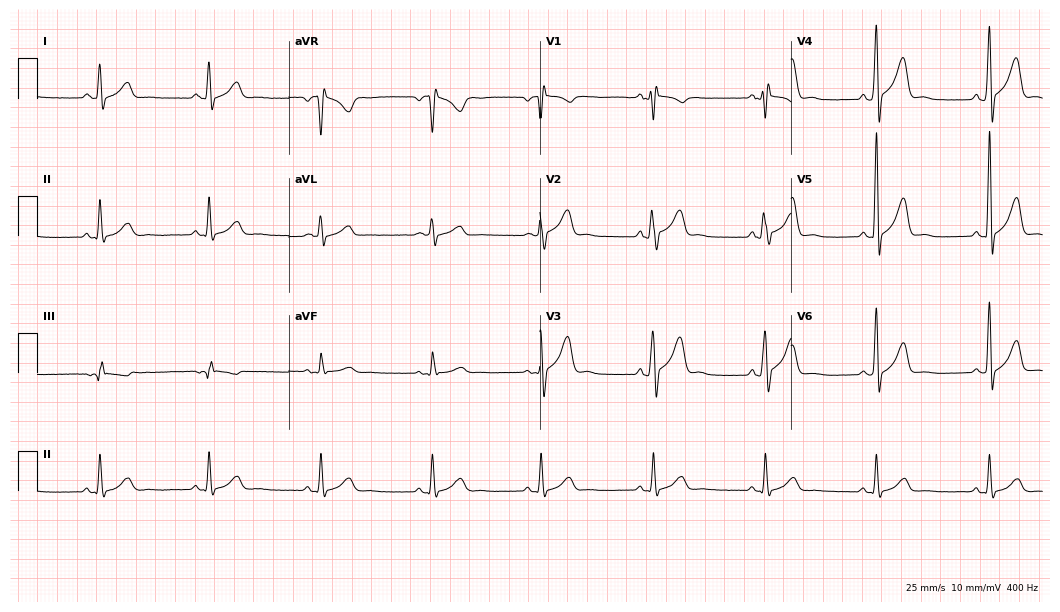
ECG — a 53-year-old man. Screened for six findings — first-degree AV block, right bundle branch block (RBBB), left bundle branch block (LBBB), sinus bradycardia, atrial fibrillation (AF), sinus tachycardia — none is recorded.